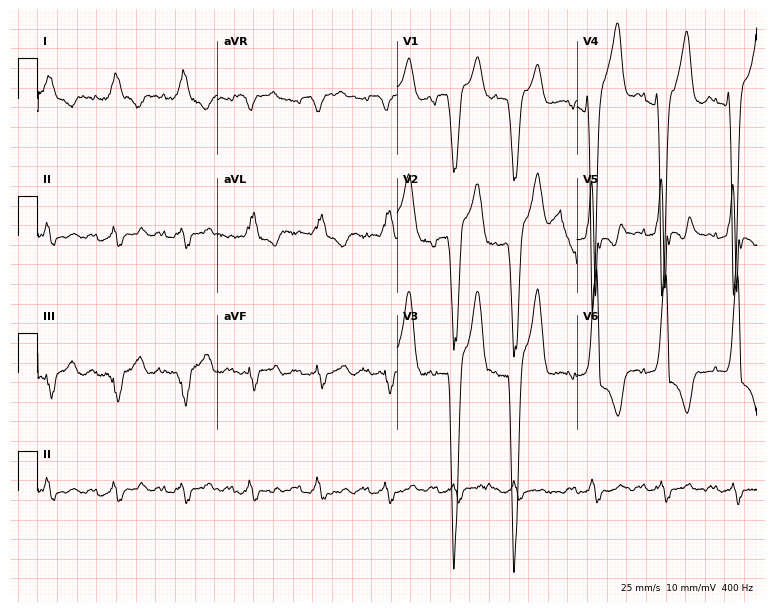
12-lead ECG from a man, 83 years old. Findings include left bundle branch block (LBBB).